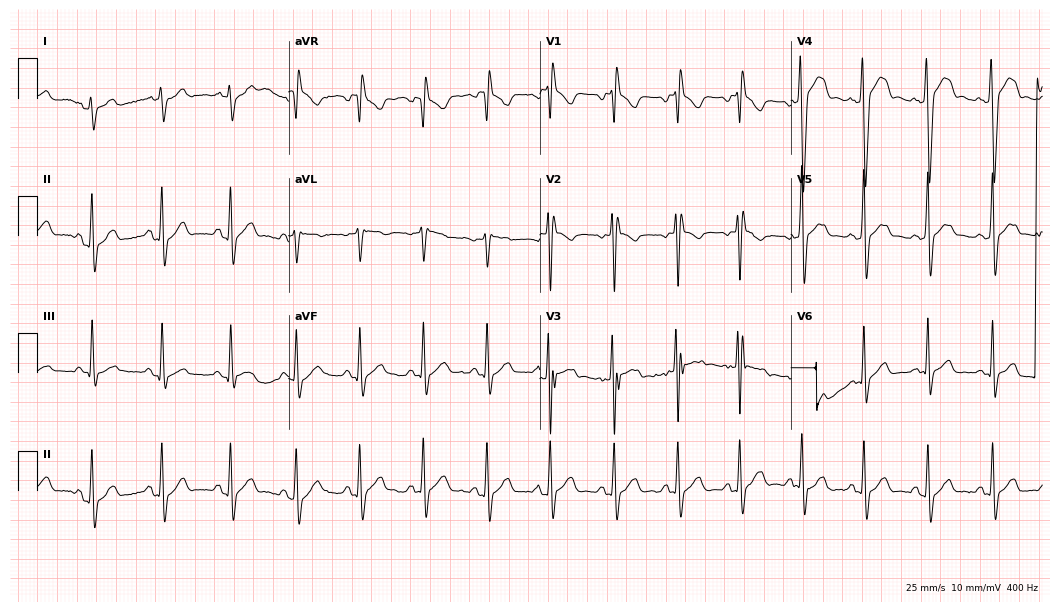
ECG (10.2-second recording at 400 Hz) — a 22-year-old male patient. Screened for six findings — first-degree AV block, right bundle branch block (RBBB), left bundle branch block (LBBB), sinus bradycardia, atrial fibrillation (AF), sinus tachycardia — none is recorded.